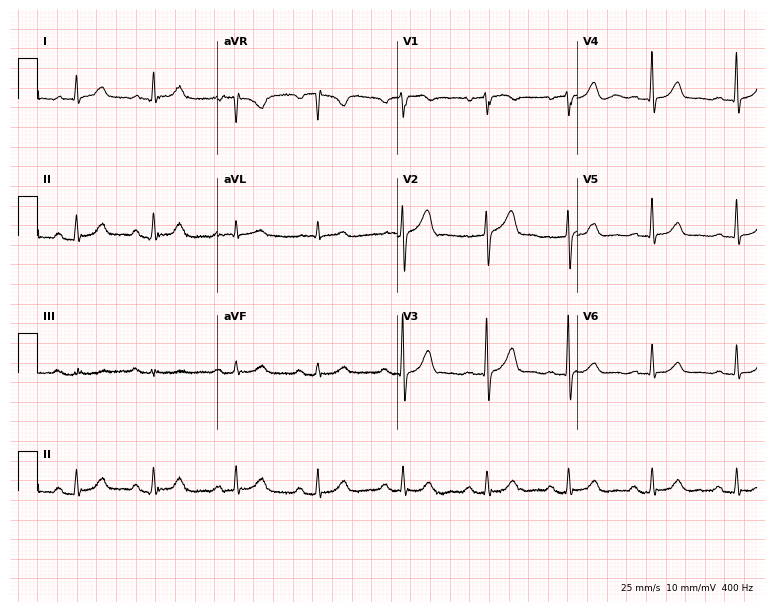
Standard 12-lead ECG recorded from a man, 71 years old. None of these six findings is recorded: first-degree AV block, right bundle branch block (RBBB), left bundle branch block (LBBB), sinus bradycardia, atrial fibrillation (AF), sinus tachycardia. Only these six findings were labelled.